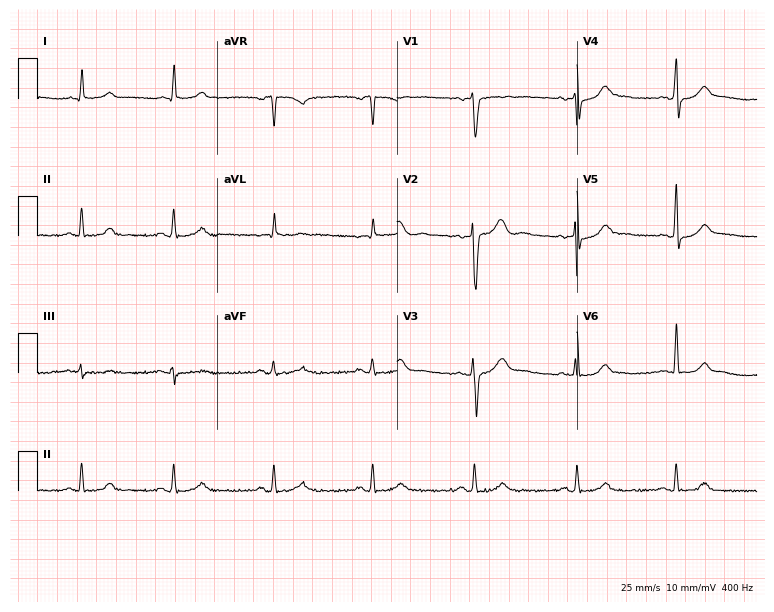
Electrocardiogram (7.3-second recording at 400 Hz), a male, 48 years old. Of the six screened findings (first-degree AV block, right bundle branch block, left bundle branch block, sinus bradycardia, atrial fibrillation, sinus tachycardia), none is recorded.